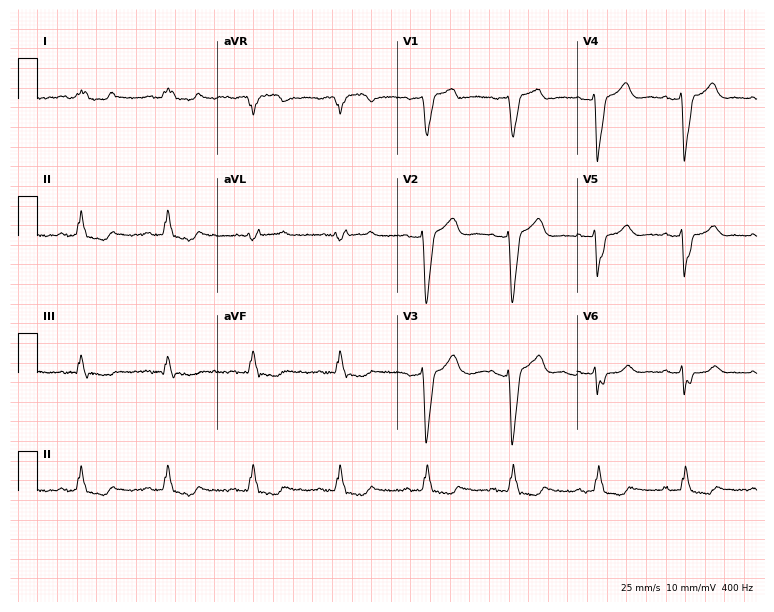
ECG — a 73-year-old female patient. Findings include left bundle branch block.